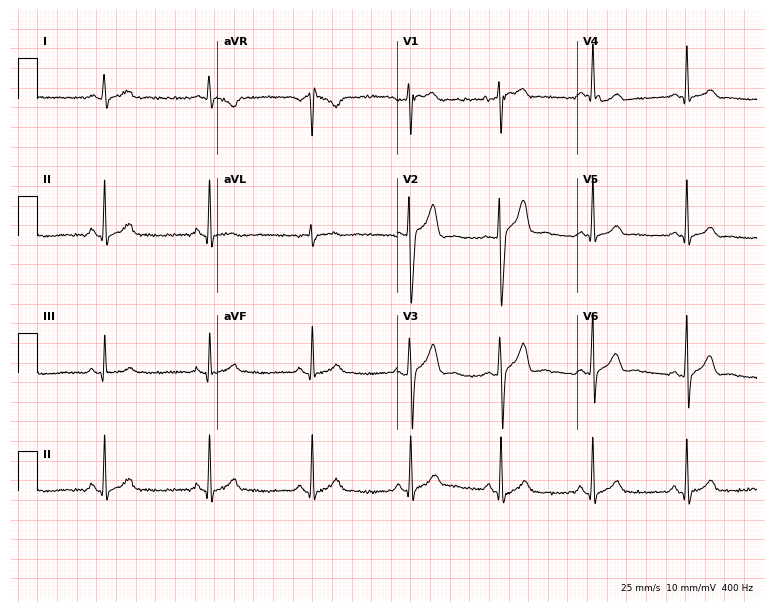
12-lead ECG (7.3-second recording at 400 Hz) from a 28-year-old male patient. Screened for six findings — first-degree AV block, right bundle branch block, left bundle branch block, sinus bradycardia, atrial fibrillation, sinus tachycardia — none is recorded.